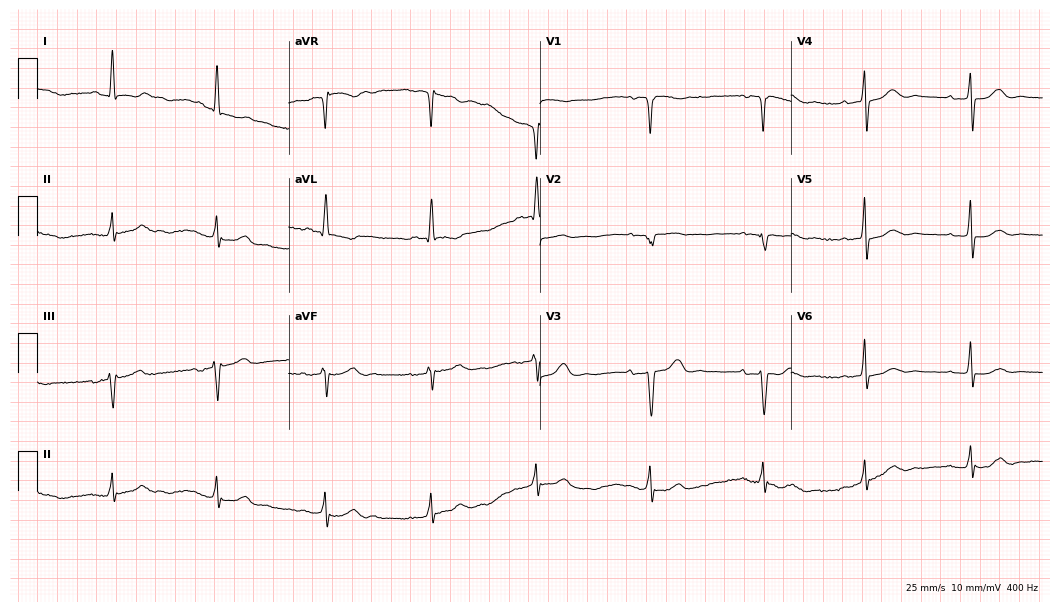
12-lead ECG (10.2-second recording at 400 Hz) from a 60-year-old female. Screened for six findings — first-degree AV block, right bundle branch block, left bundle branch block, sinus bradycardia, atrial fibrillation, sinus tachycardia — none is recorded.